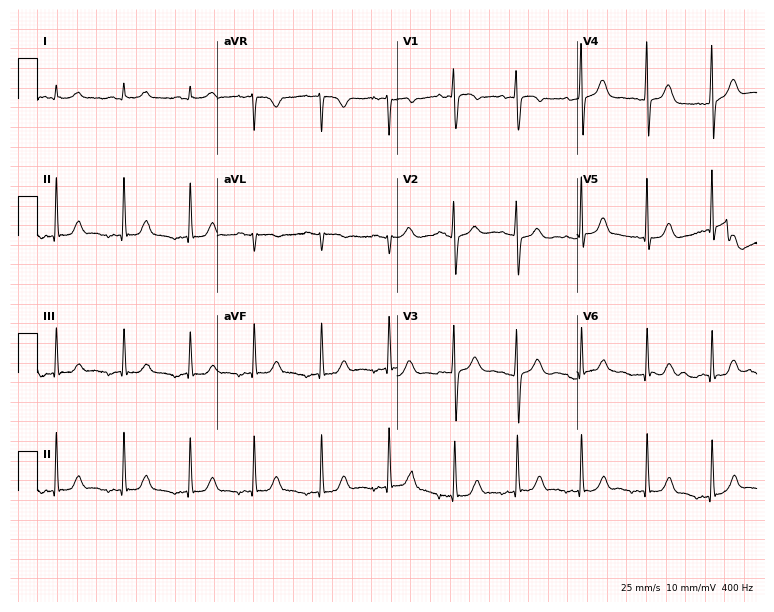
Resting 12-lead electrocardiogram (7.3-second recording at 400 Hz). Patient: a 17-year-old woman. Read as a normal ECG.